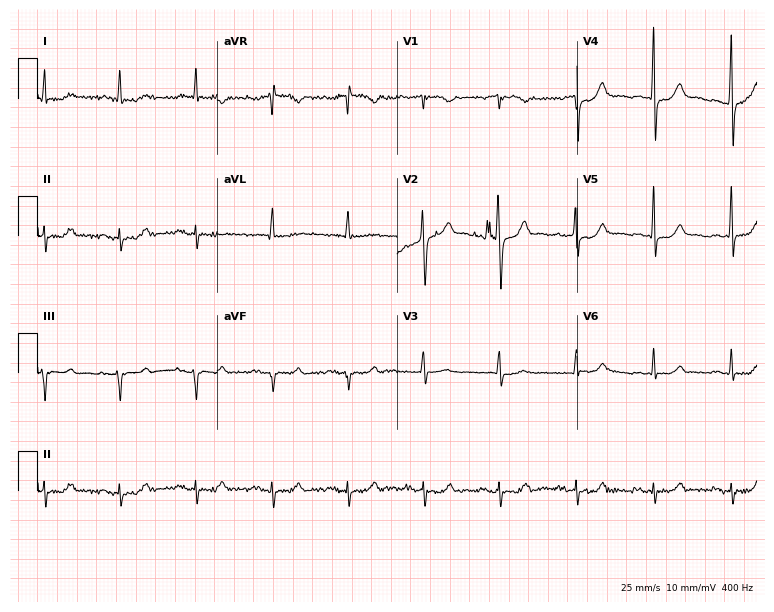
12-lead ECG from a 66-year-old man (7.3-second recording at 400 Hz). Recorded interpretation: within normal limits.